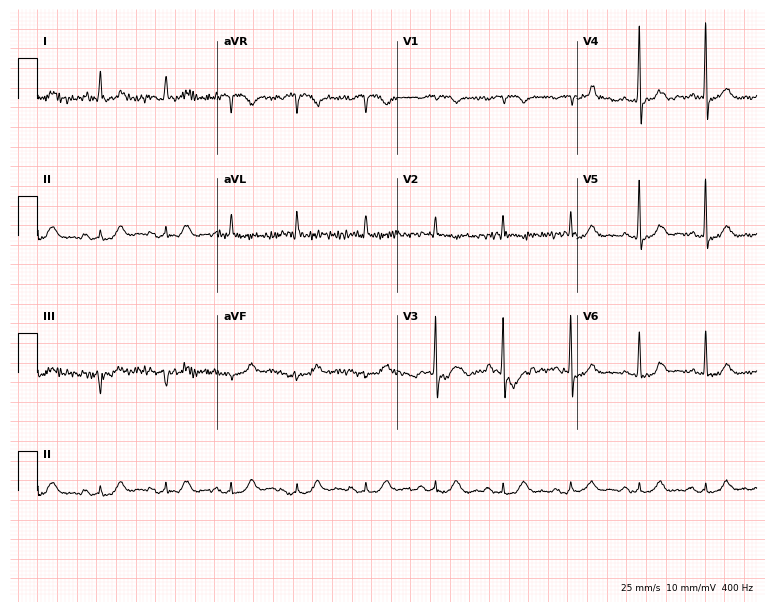
Electrocardiogram (7.3-second recording at 400 Hz), a man, 60 years old. Overall reading on record: normal ECG.